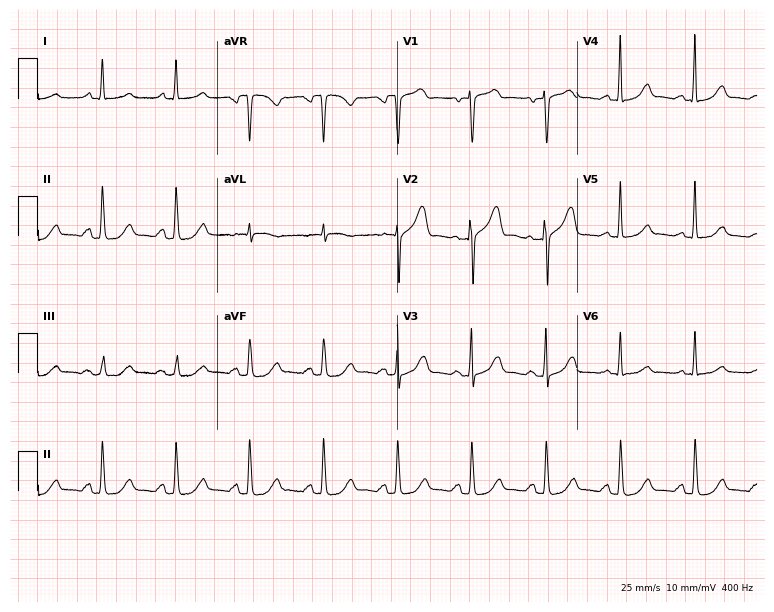
12-lead ECG from a 78-year-old woman. Recorded interpretation: within normal limits.